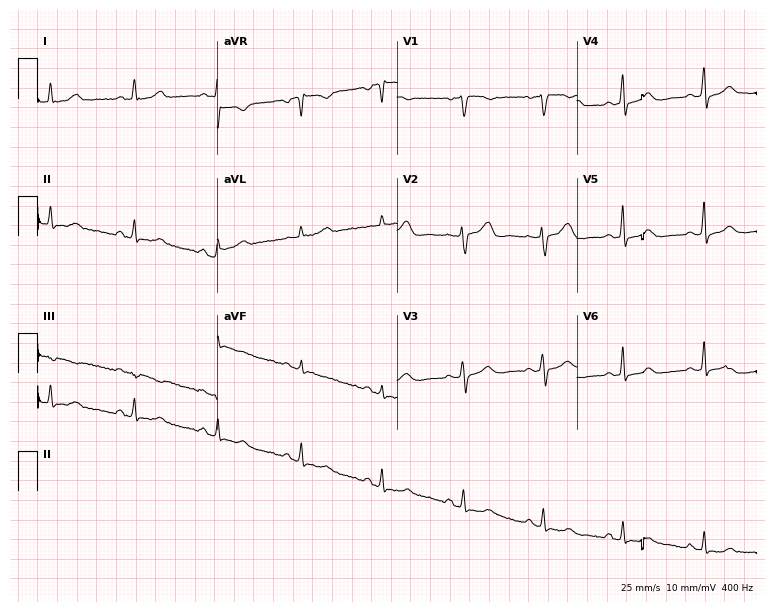
Standard 12-lead ECG recorded from a 34-year-old female (7.3-second recording at 400 Hz). None of these six findings is recorded: first-degree AV block, right bundle branch block, left bundle branch block, sinus bradycardia, atrial fibrillation, sinus tachycardia. Other findings, if any, are not listed.